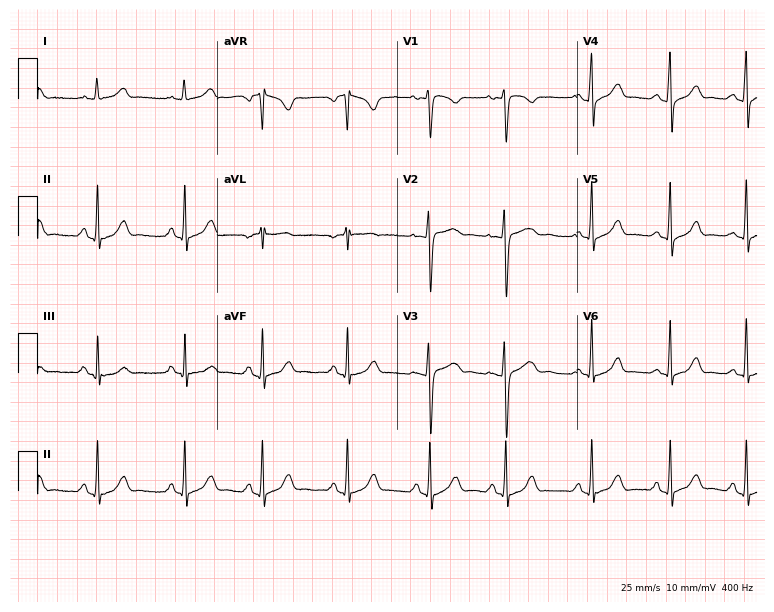
12-lead ECG from a female patient, 17 years old. Recorded interpretation: within normal limits.